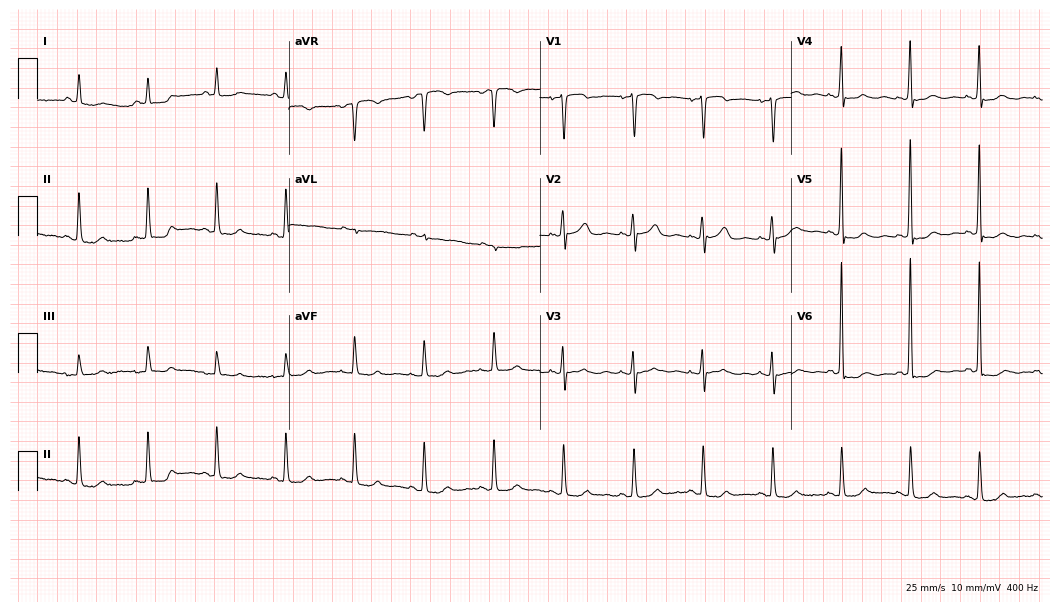
12-lead ECG from a 63-year-old woman. No first-degree AV block, right bundle branch block, left bundle branch block, sinus bradycardia, atrial fibrillation or sinus tachycardia recorded for this tracing.